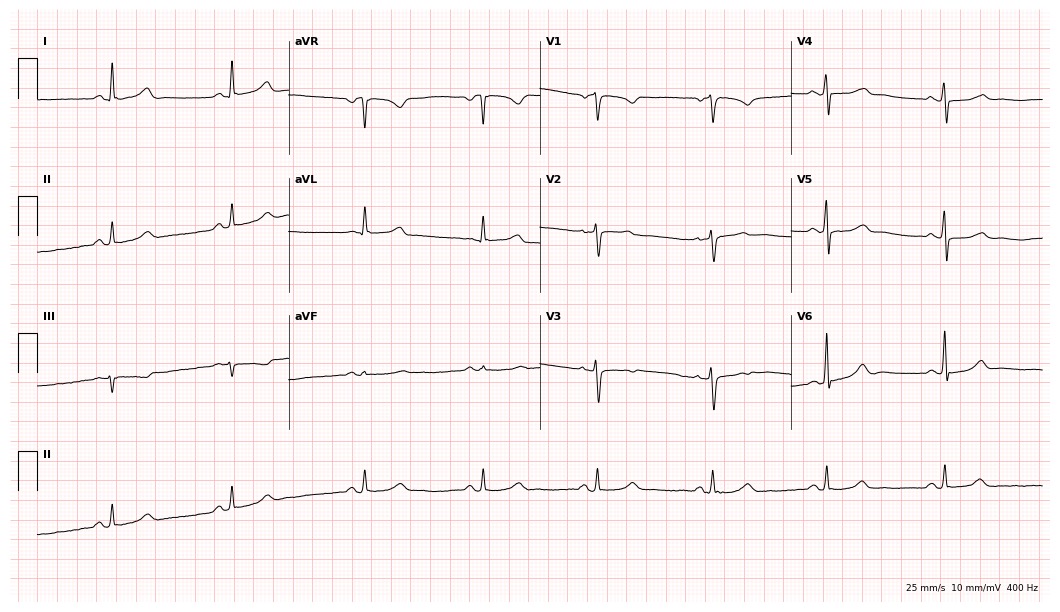
ECG — a 63-year-old female patient. Findings include sinus bradycardia (a sinus rate of 50 beats per minute or less).